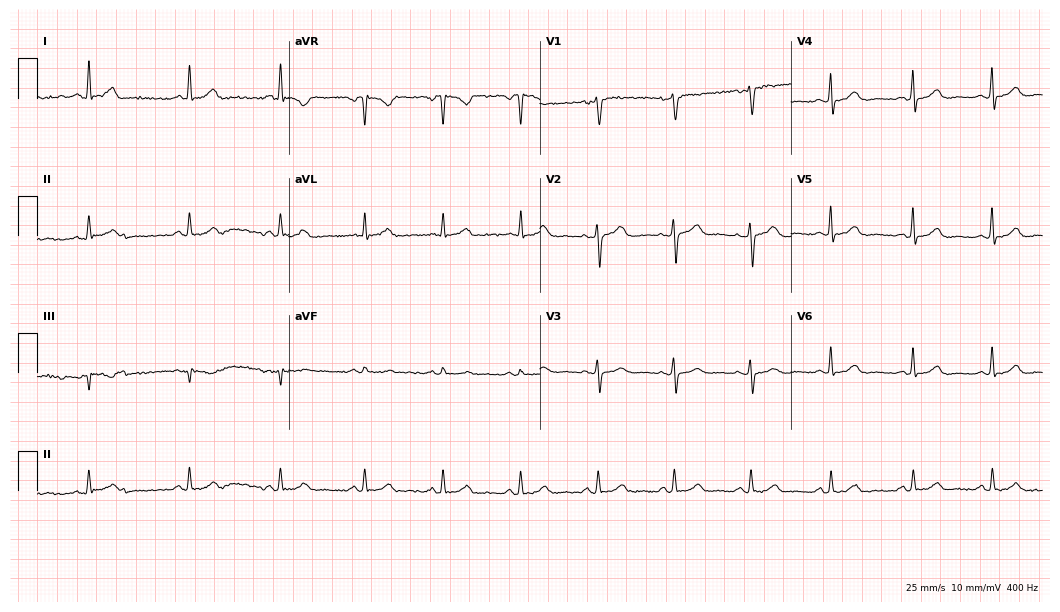
ECG — a woman, 64 years old. Screened for six findings — first-degree AV block, right bundle branch block, left bundle branch block, sinus bradycardia, atrial fibrillation, sinus tachycardia — none is recorded. Other findings, if any, are not listed.